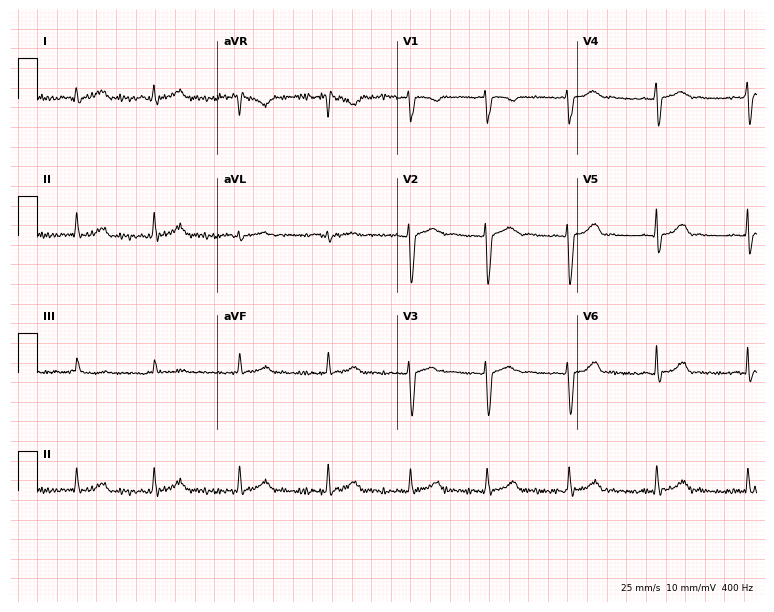
Electrocardiogram, a 29-year-old female patient. Overall reading on record: normal ECG.